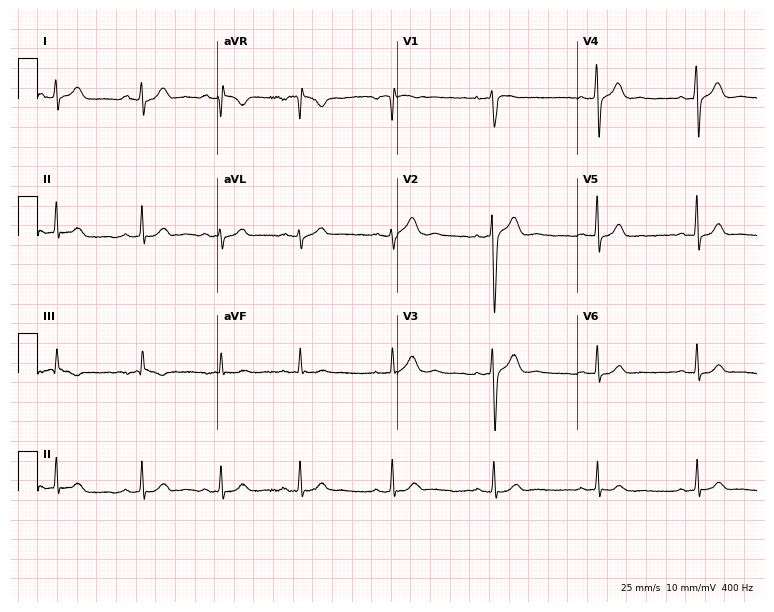
Resting 12-lead electrocardiogram (7.3-second recording at 400 Hz). Patient: a 39-year-old male. None of these six findings is recorded: first-degree AV block, right bundle branch block, left bundle branch block, sinus bradycardia, atrial fibrillation, sinus tachycardia. Other findings, if any, are not listed.